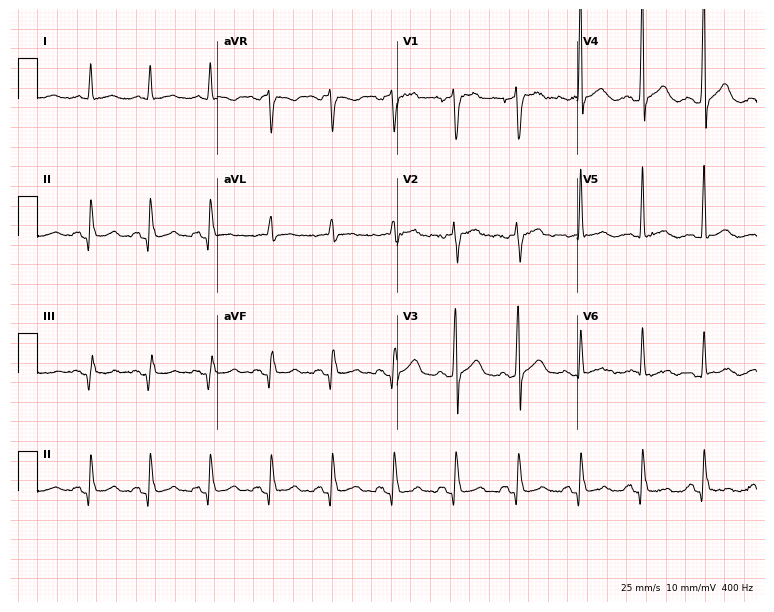
Resting 12-lead electrocardiogram (7.3-second recording at 400 Hz). Patient: a male, 70 years old. None of these six findings is recorded: first-degree AV block, right bundle branch block, left bundle branch block, sinus bradycardia, atrial fibrillation, sinus tachycardia. Only these six findings were labelled.